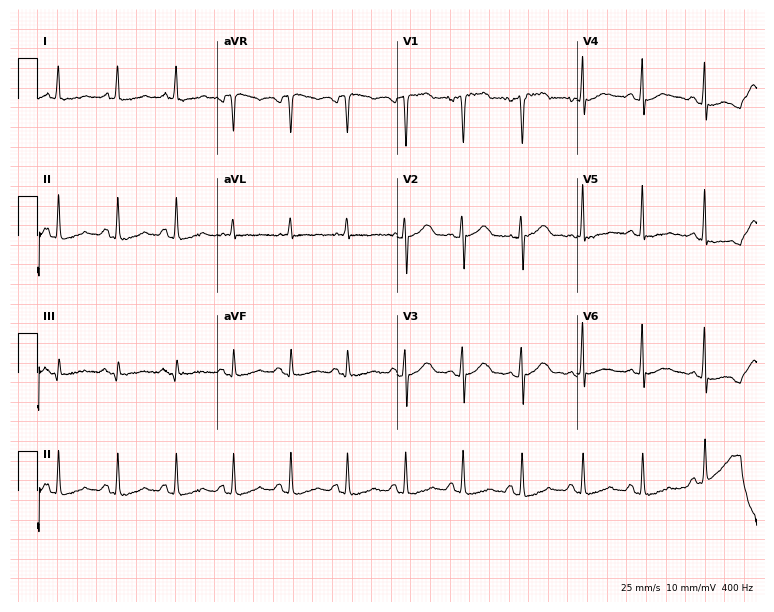
Resting 12-lead electrocardiogram (7.3-second recording at 400 Hz). Patient: a 49-year-old female. Read as a normal ECG.